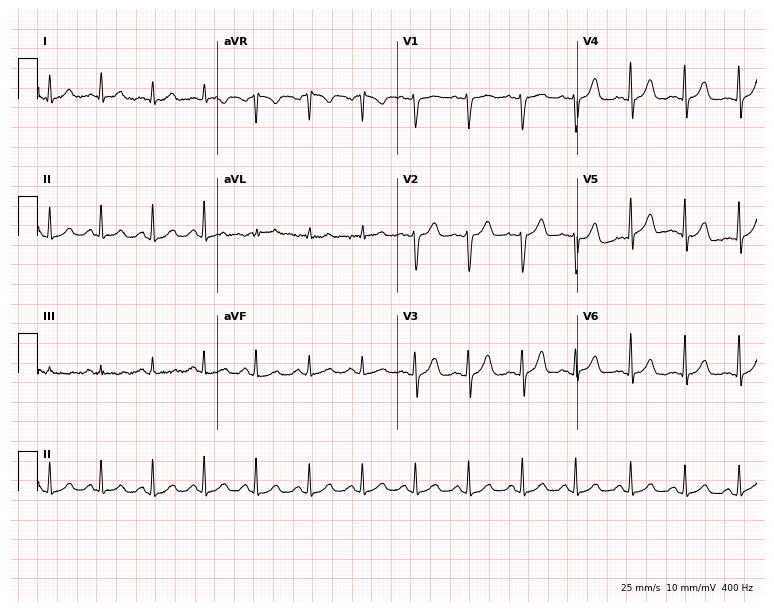
Standard 12-lead ECG recorded from a 47-year-old female (7.3-second recording at 400 Hz). The tracing shows sinus tachycardia (a sinus rate of 100 beats per minute or more).